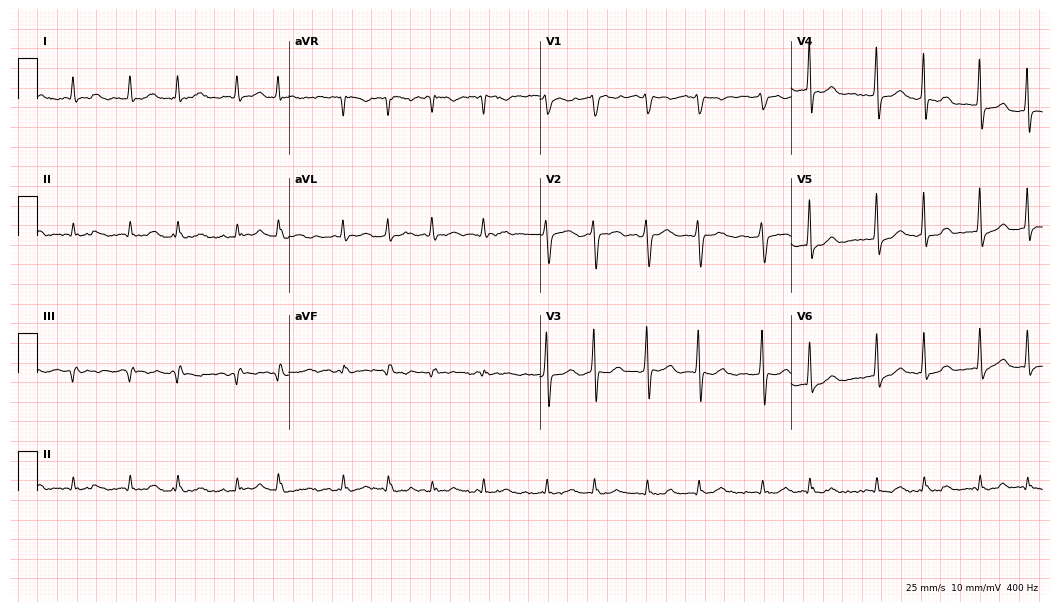
12-lead ECG (10.2-second recording at 400 Hz) from a 69-year-old male patient. Findings include atrial fibrillation.